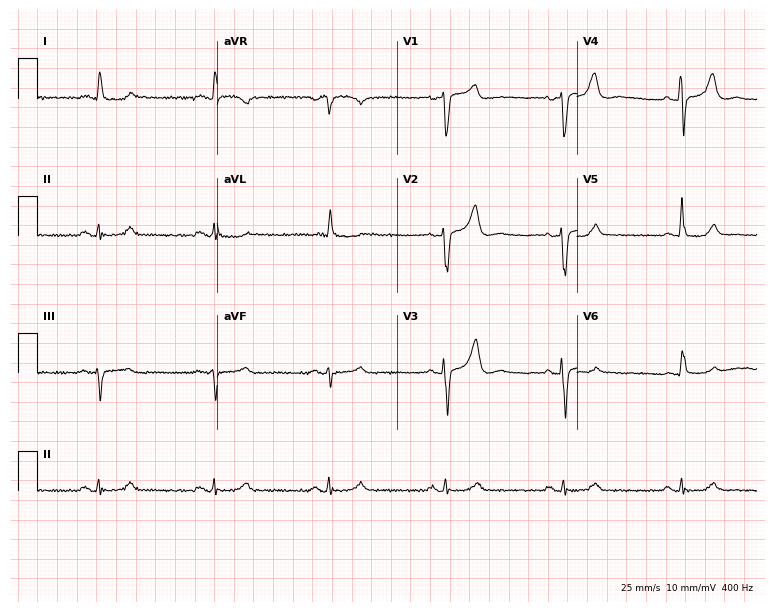
Standard 12-lead ECG recorded from a 73-year-old man. None of these six findings is recorded: first-degree AV block, right bundle branch block (RBBB), left bundle branch block (LBBB), sinus bradycardia, atrial fibrillation (AF), sinus tachycardia.